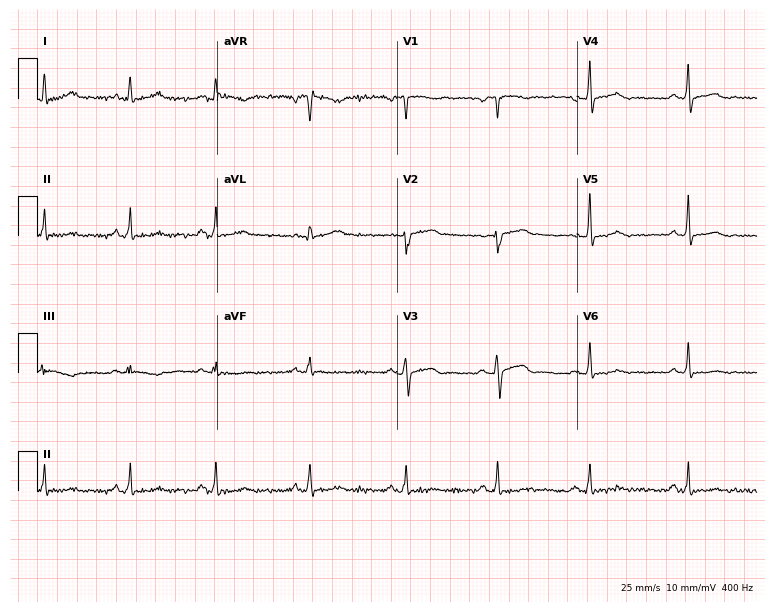
12-lead ECG (7.3-second recording at 400 Hz) from a 64-year-old woman. Screened for six findings — first-degree AV block, right bundle branch block, left bundle branch block, sinus bradycardia, atrial fibrillation, sinus tachycardia — none is recorded. Only these six findings were labelled.